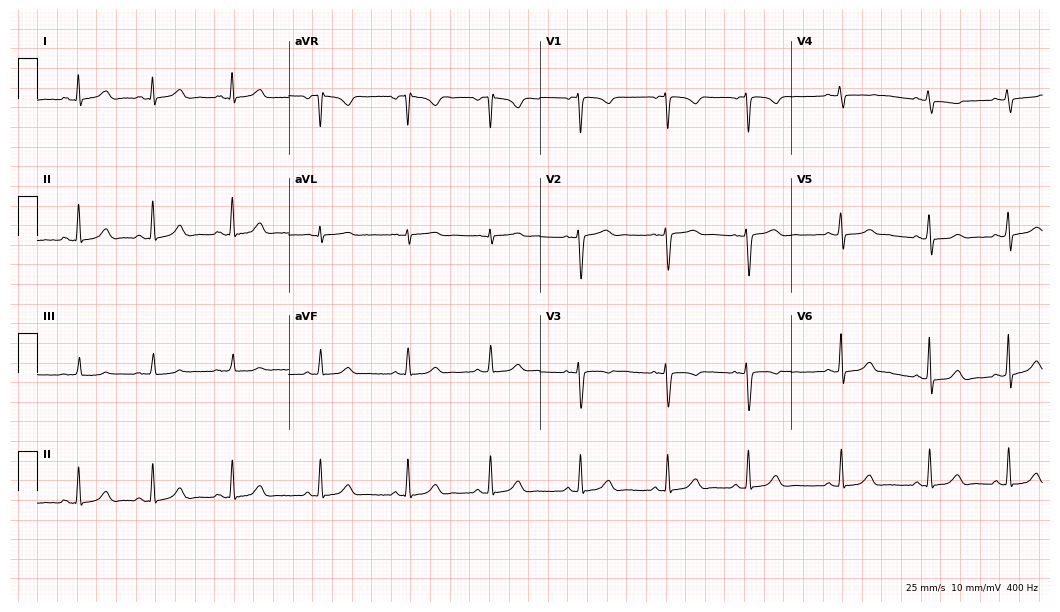
12-lead ECG from a woman, 34 years old. Labelled as a normal ECG.